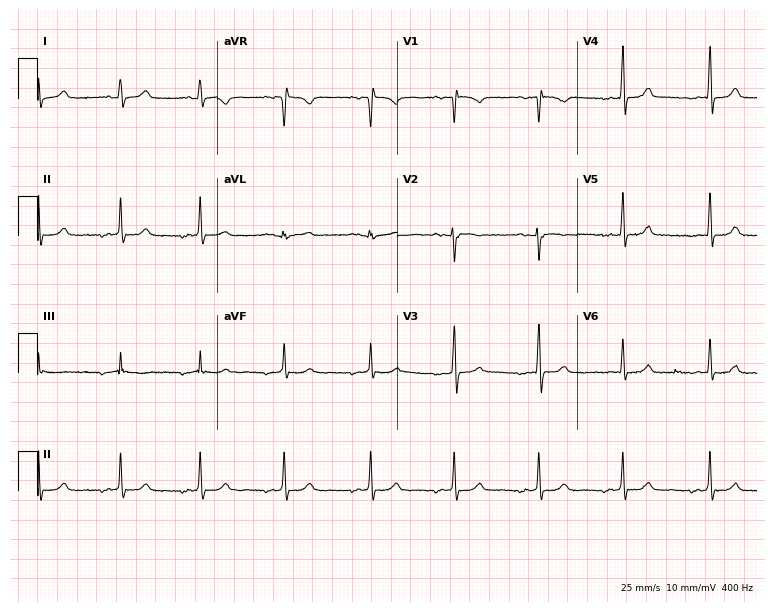
ECG — a woman, 18 years old. Labelled as a normal ECG.